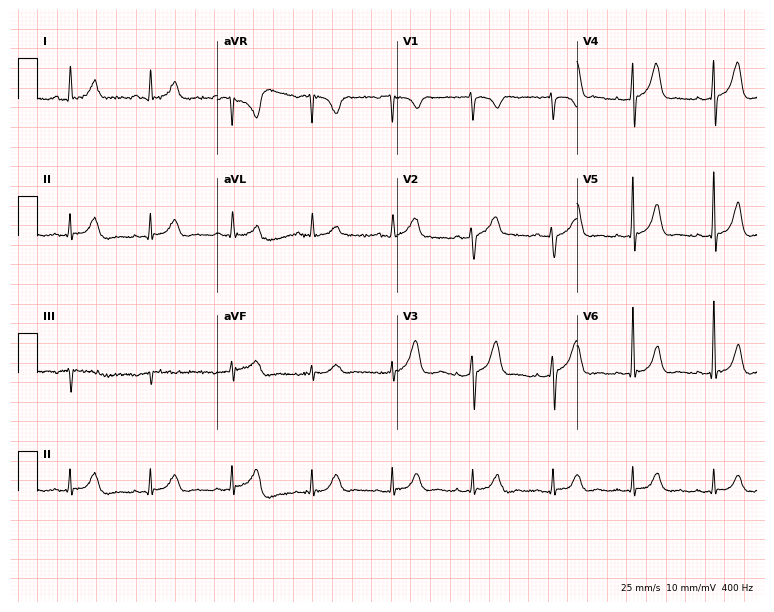
Electrocardiogram, a 62-year-old male patient. Overall reading on record: normal ECG.